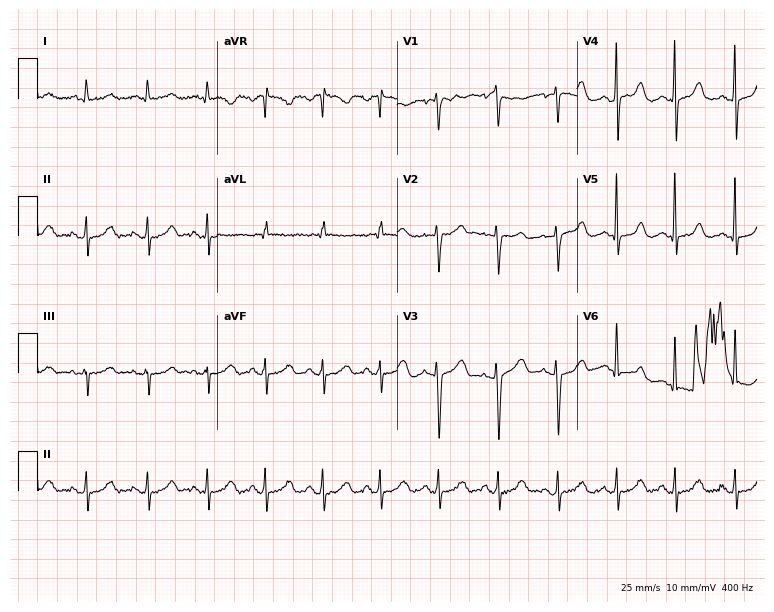
12-lead ECG from a 52-year-old woman. Labelled as a normal ECG.